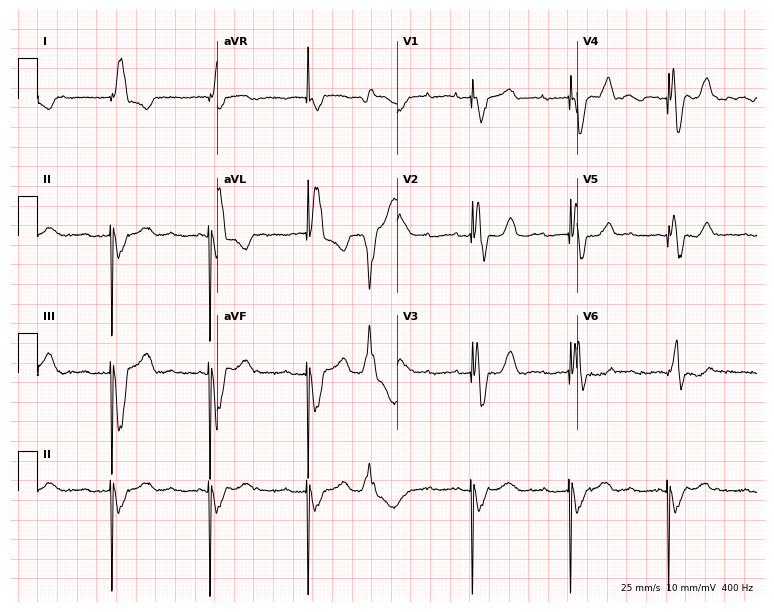
12-lead ECG (7.3-second recording at 400 Hz) from an 80-year-old woman. Screened for six findings — first-degree AV block, right bundle branch block, left bundle branch block, sinus bradycardia, atrial fibrillation, sinus tachycardia — none is recorded.